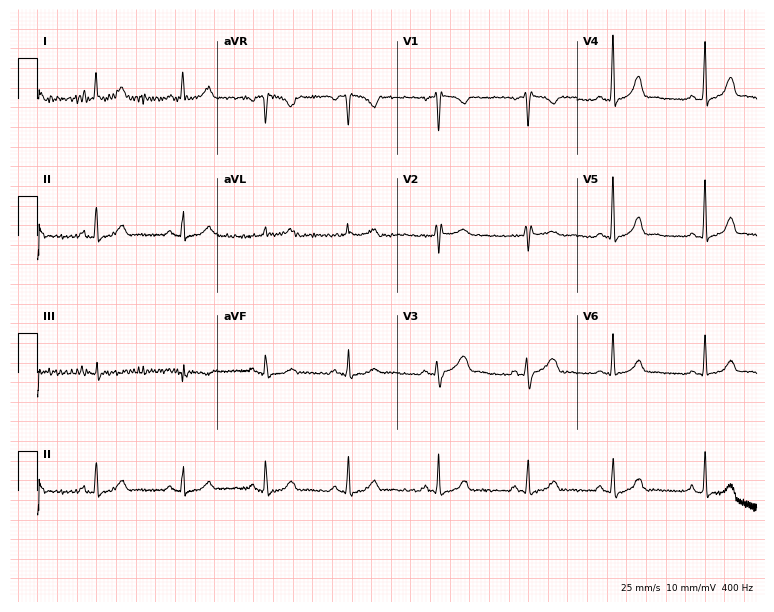
12-lead ECG (7.3-second recording at 400 Hz) from a female, 24 years old. Screened for six findings — first-degree AV block, right bundle branch block, left bundle branch block, sinus bradycardia, atrial fibrillation, sinus tachycardia — none is recorded.